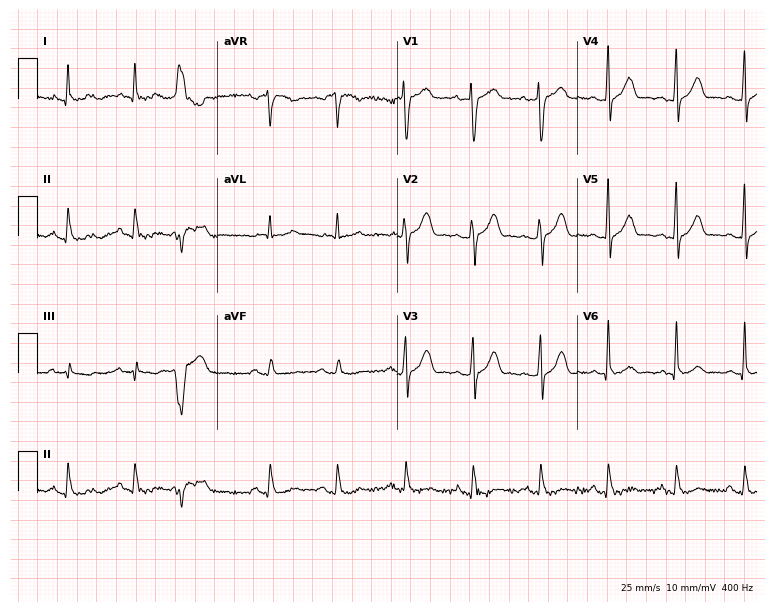
Resting 12-lead electrocardiogram (7.3-second recording at 400 Hz). Patient: a 78-year-old male. Read as a normal ECG.